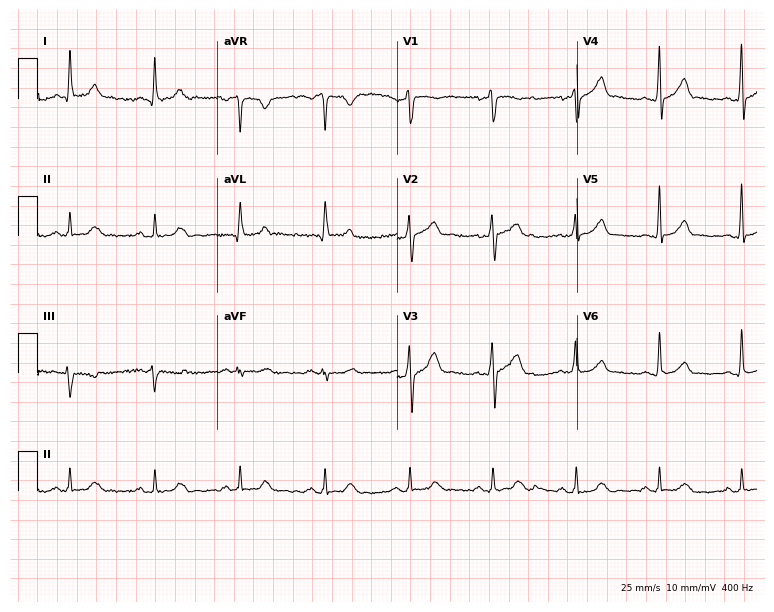
12-lead ECG from a 41-year-old male (7.3-second recording at 400 Hz). Recorded interpretation: within normal limits.